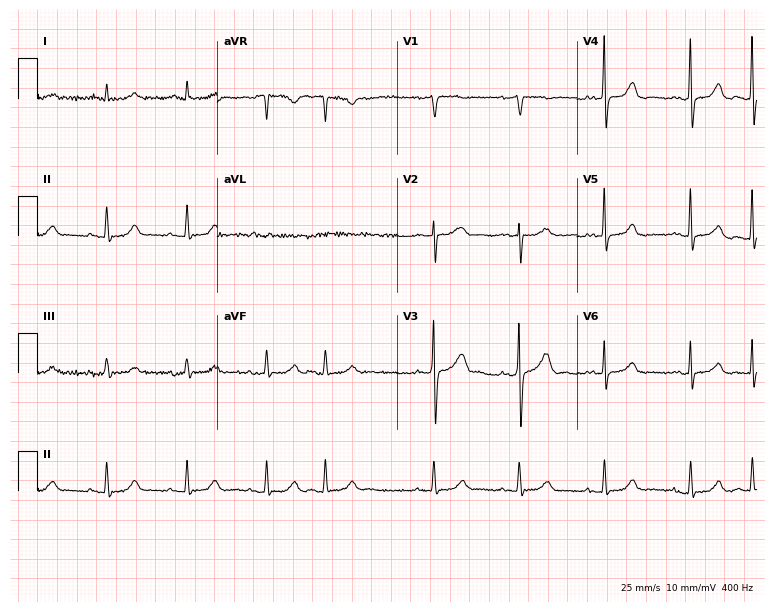
Electrocardiogram, a male patient, 77 years old. Of the six screened findings (first-degree AV block, right bundle branch block, left bundle branch block, sinus bradycardia, atrial fibrillation, sinus tachycardia), none is recorded. Other findings, if any, are not listed.